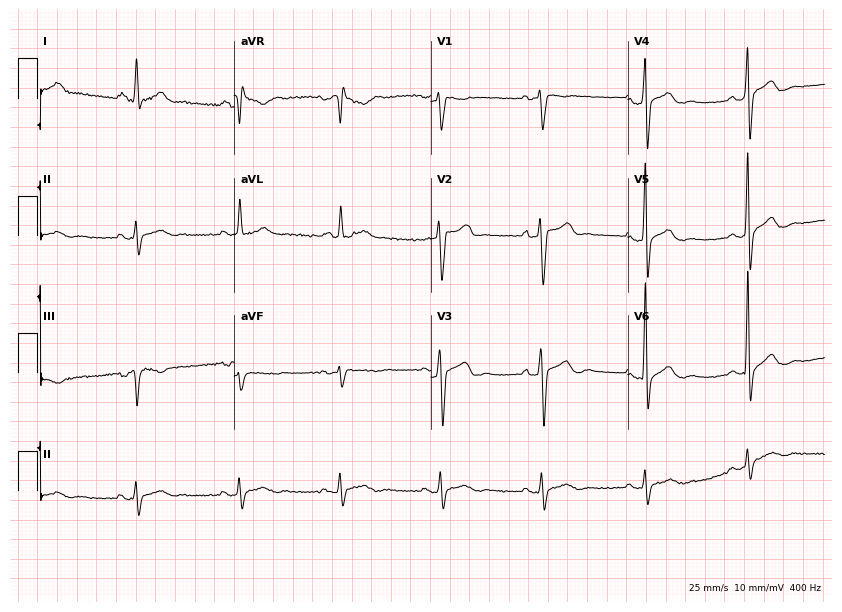
12-lead ECG (8-second recording at 400 Hz) from a 47-year-old male patient. Screened for six findings — first-degree AV block, right bundle branch block, left bundle branch block, sinus bradycardia, atrial fibrillation, sinus tachycardia — none is recorded.